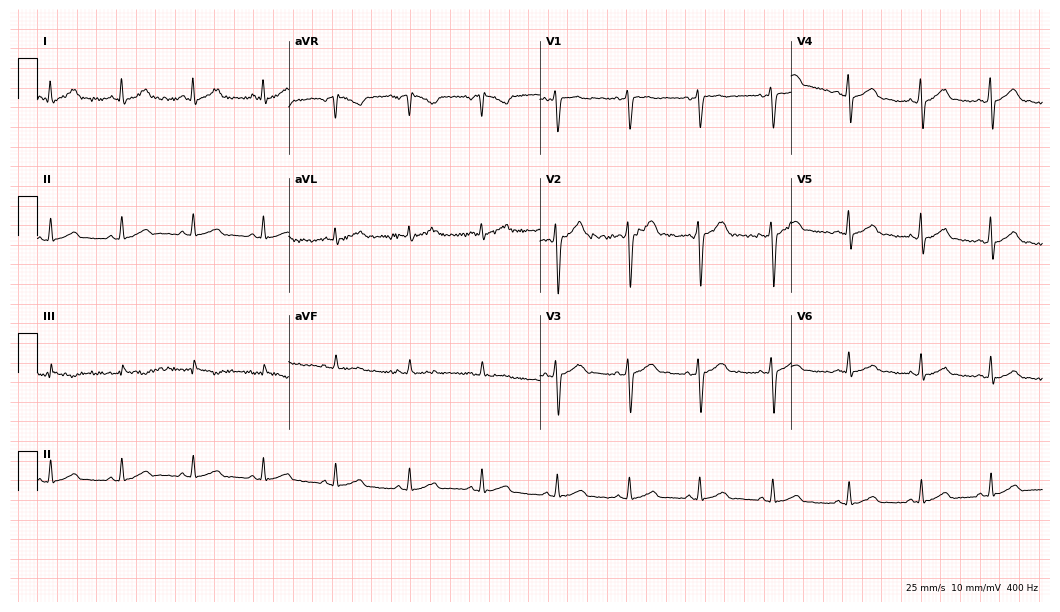
Resting 12-lead electrocardiogram (10.2-second recording at 400 Hz). Patient: a 24-year-old man. Read as a normal ECG.